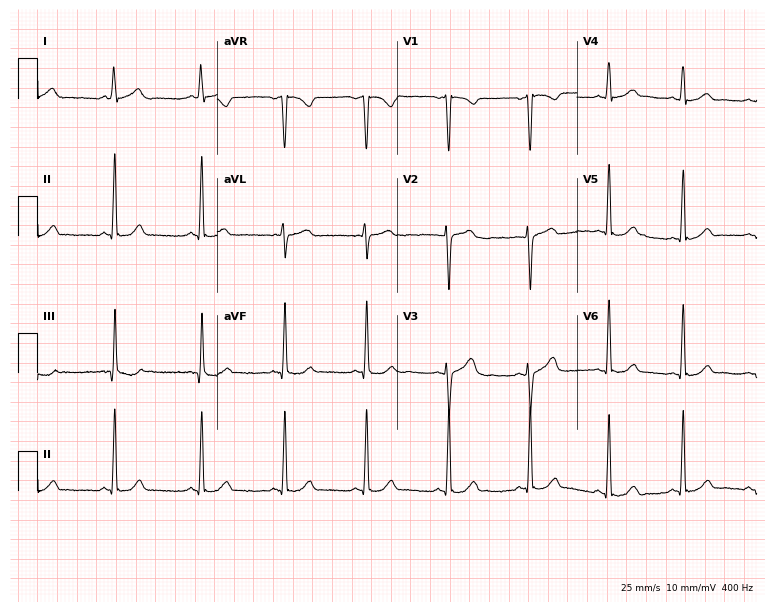
ECG (7.3-second recording at 400 Hz) — a 28-year-old woman. Labelled as a normal ECG.